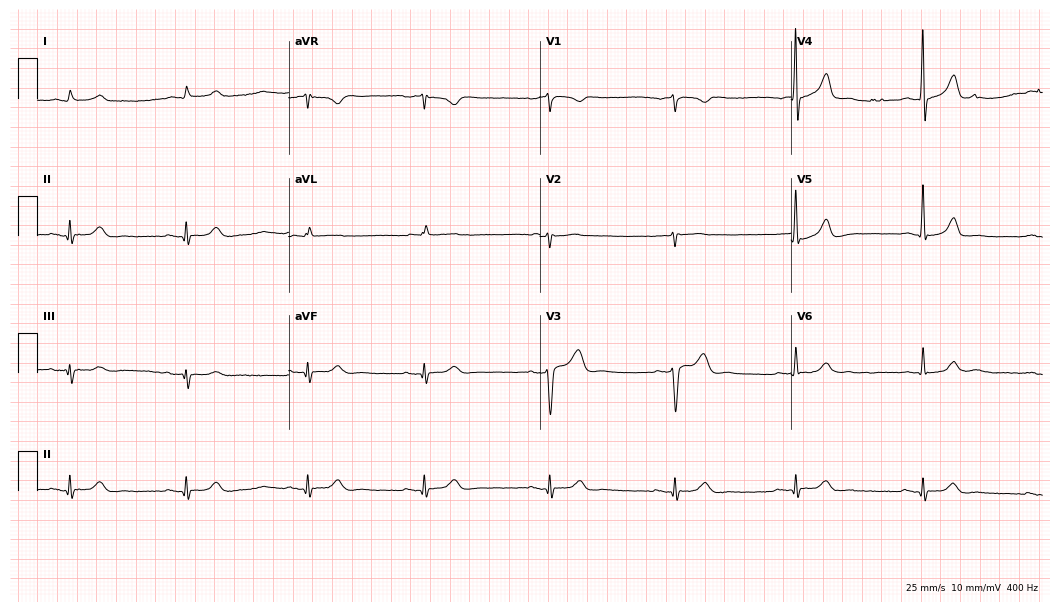
12-lead ECG from a 60-year-old male. Findings include sinus bradycardia (a sinus rate of 50 beats per minute or less).